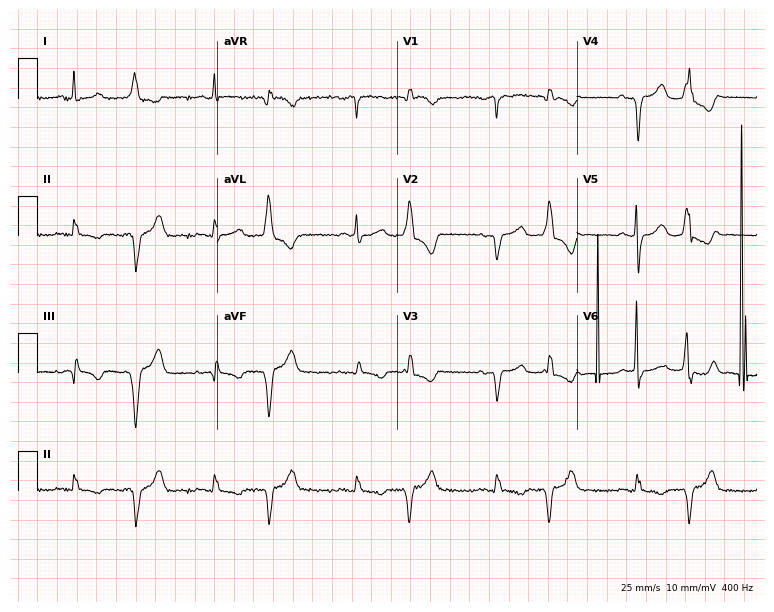
12-lead ECG from a man, 81 years old. No first-degree AV block, right bundle branch block, left bundle branch block, sinus bradycardia, atrial fibrillation or sinus tachycardia recorded for this tracing.